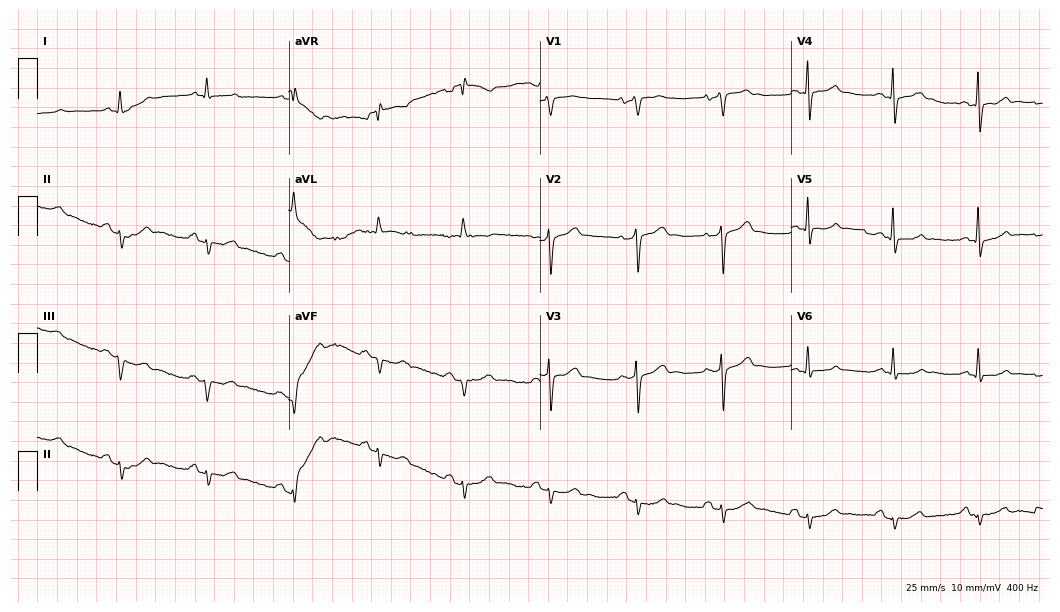
Standard 12-lead ECG recorded from a man, 62 years old. None of these six findings is recorded: first-degree AV block, right bundle branch block, left bundle branch block, sinus bradycardia, atrial fibrillation, sinus tachycardia. Findings outside these six are not listed.